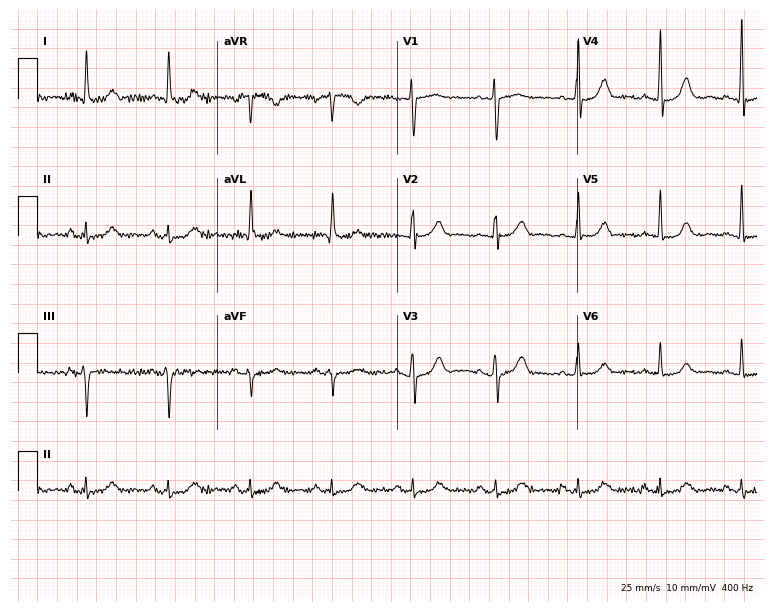
12-lead ECG from a 73-year-old female patient (7.3-second recording at 400 Hz). Recorded interpretation: within normal limits.